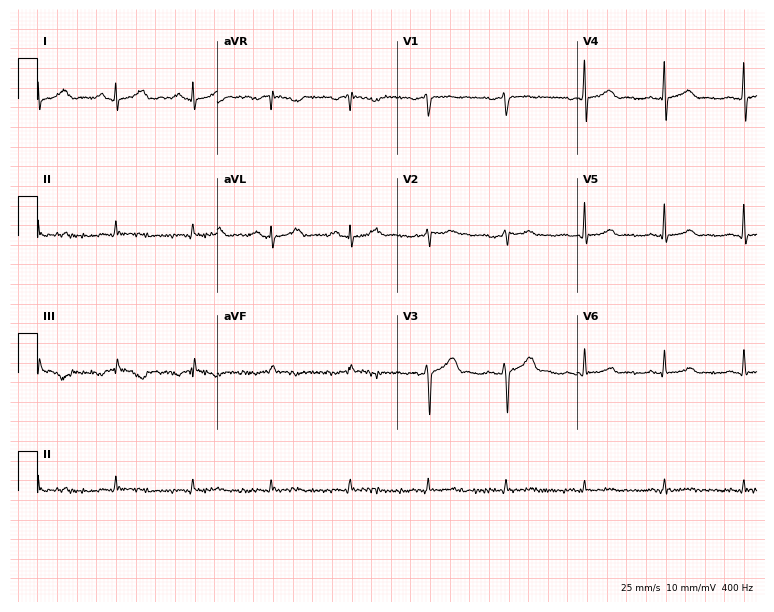
Standard 12-lead ECG recorded from a man, 55 years old. None of these six findings is recorded: first-degree AV block, right bundle branch block, left bundle branch block, sinus bradycardia, atrial fibrillation, sinus tachycardia. Other findings, if any, are not listed.